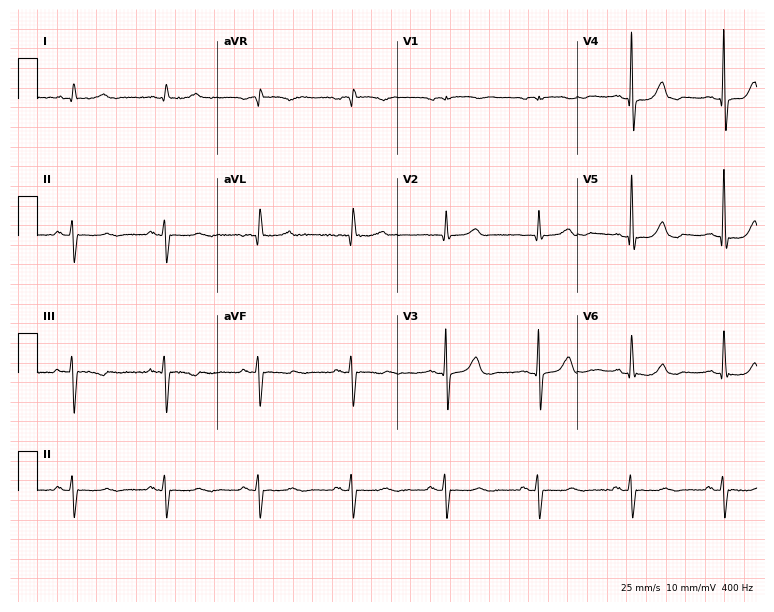
12-lead ECG from a male, 83 years old. Screened for six findings — first-degree AV block, right bundle branch block (RBBB), left bundle branch block (LBBB), sinus bradycardia, atrial fibrillation (AF), sinus tachycardia — none is recorded.